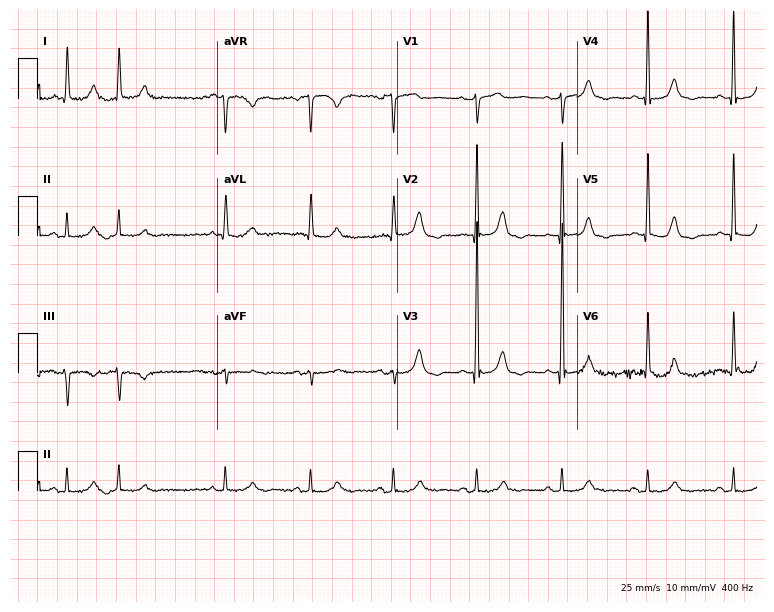
Resting 12-lead electrocardiogram. Patient: a female, 75 years old. None of these six findings is recorded: first-degree AV block, right bundle branch block (RBBB), left bundle branch block (LBBB), sinus bradycardia, atrial fibrillation (AF), sinus tachycardia. Only these six findings were labelled.